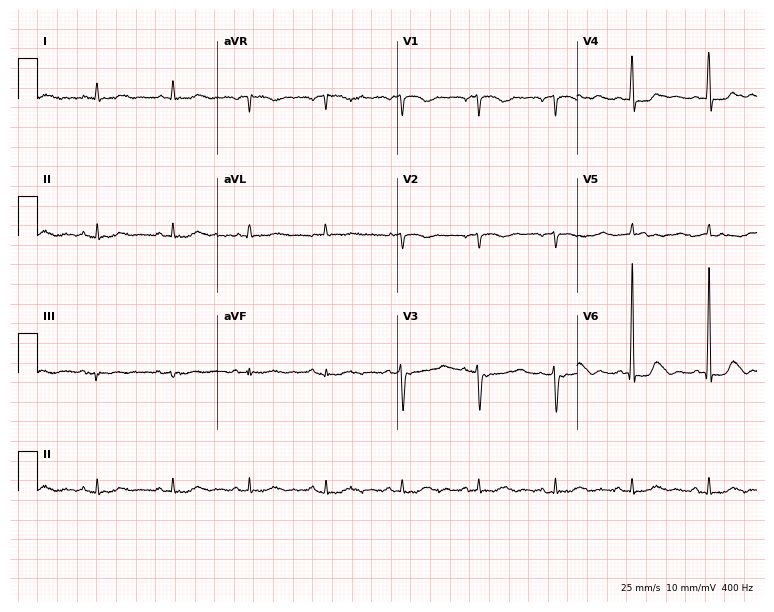
12-lead ECG from a 66-year-old female. No first-degree AV block, right bundle branch block, left bundle branch block, sinus bradycardia, atrial fibrillation or sinus tachycardia recorded for this tracing.